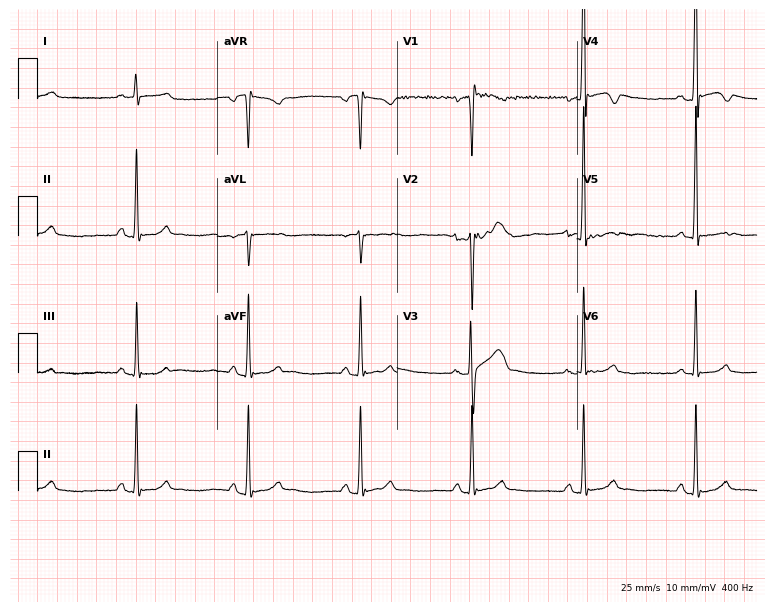
12-lead ECG from a 41-year-old man (7.3-second recording at 400 Hz). No first-degree AV block, right bundle branch block (RBBB), left bundle branch block (LBBB), sinus bradycardia, atrial fibrillation (AF) or sinus tachycardia recorded for this tracing.